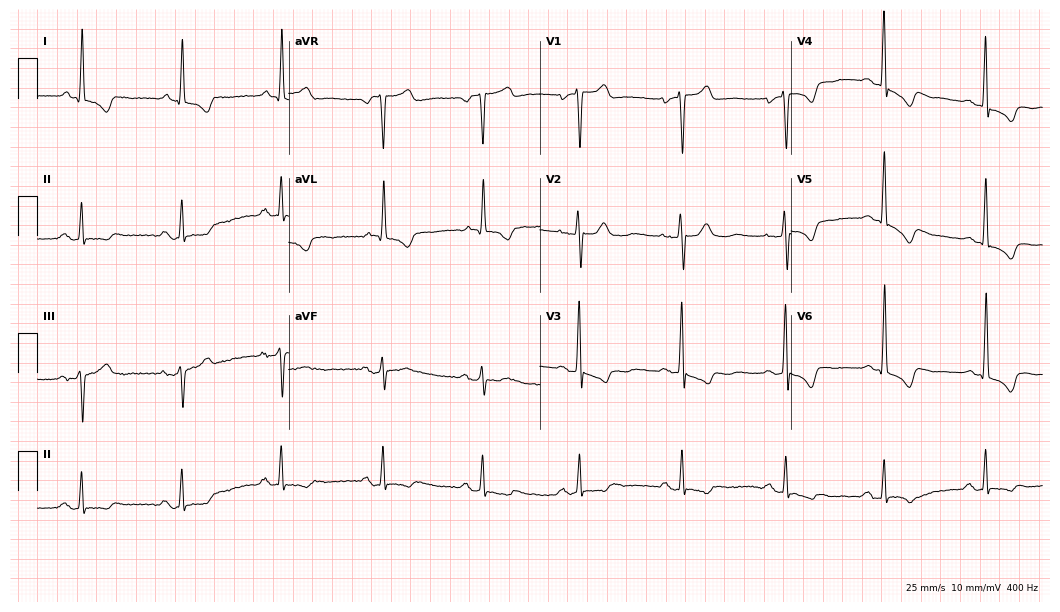
12-lead ECG from a 65-year-old female. Screened for six findings — first-degree AV block, right bundle branch block, left bundle branch block, sinus bradycardia, atrial fibrillation, sinus tachycardia — none is recorded. Only these six findings were labelled.